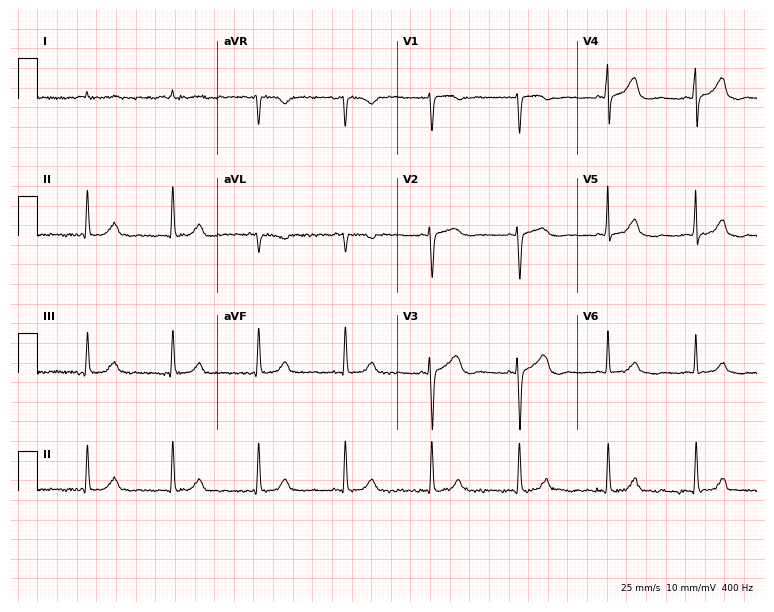
Electrocardiogram, an 85-year-old man. Overall reading on record: normal ECG.